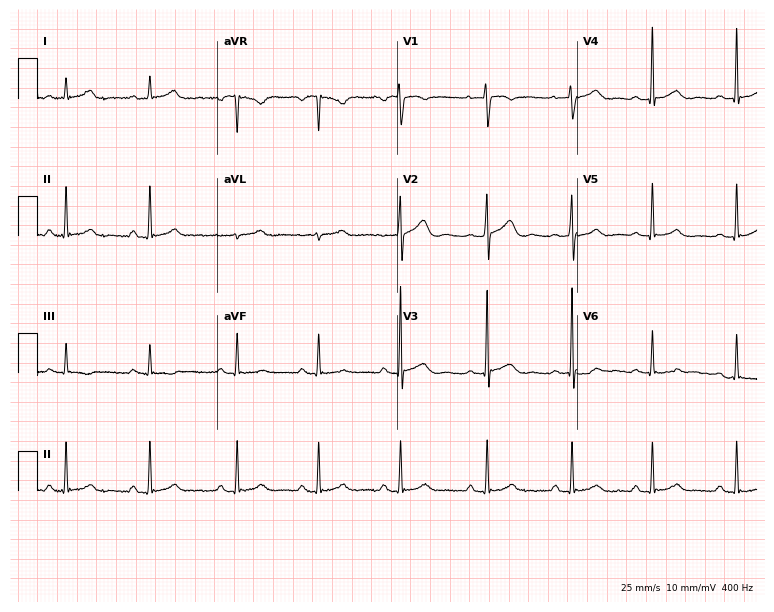
Electrocardiogram, a 25-year-old female patient. Of the six screened findings (first-degree AV block, right bundle branch block, left bundle branch block, sinus bradycardia, atrial fibrillation, sinus tachycardia), none is recorded.